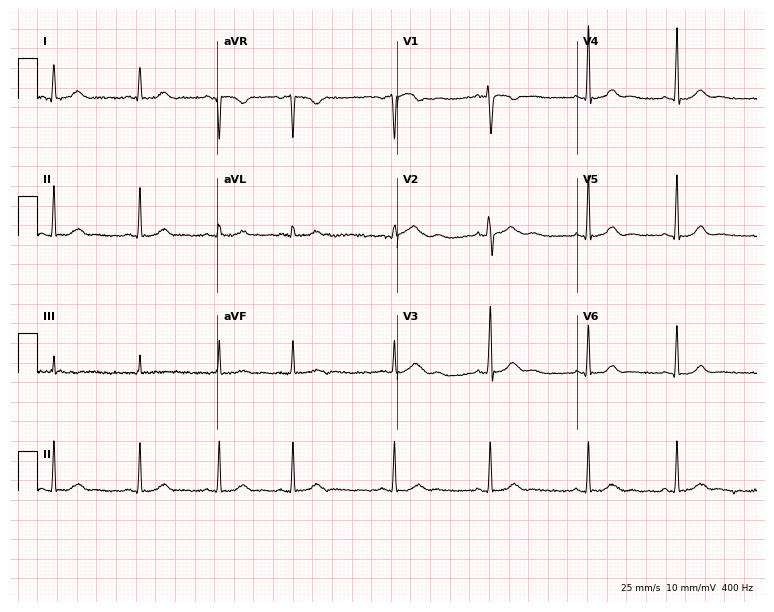
Standard 12-lead ECG recorded from a 17-year-old female patient (7.3-second recording at 400 Hz). None of these six findings is recorded: first-degree AV block, right bundle branch block, left bundle branch block, sinus bradycardia, atrial fibrillation, sinus tachycardia. Only these six findings were labelled.